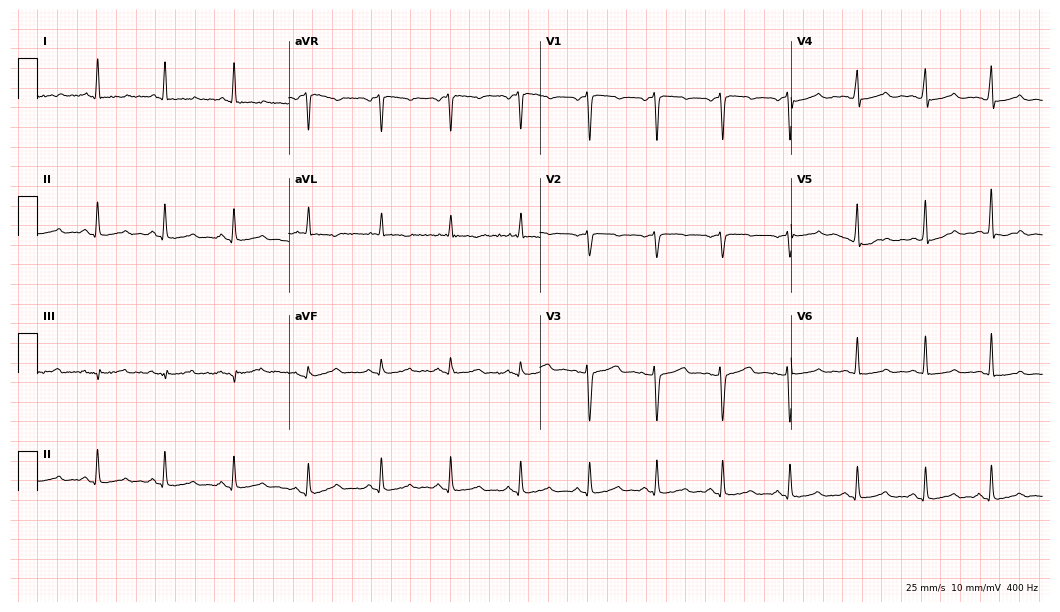
Electrocardiogram, a 55-year-old woman. Of the six screened findings (first-degree AV block, right bundle branch block (RBBB), left bundle branch block (LBBB), sinus bradycardia, atrial fibrillation (AF), sinus tachycardia), none is recorded.